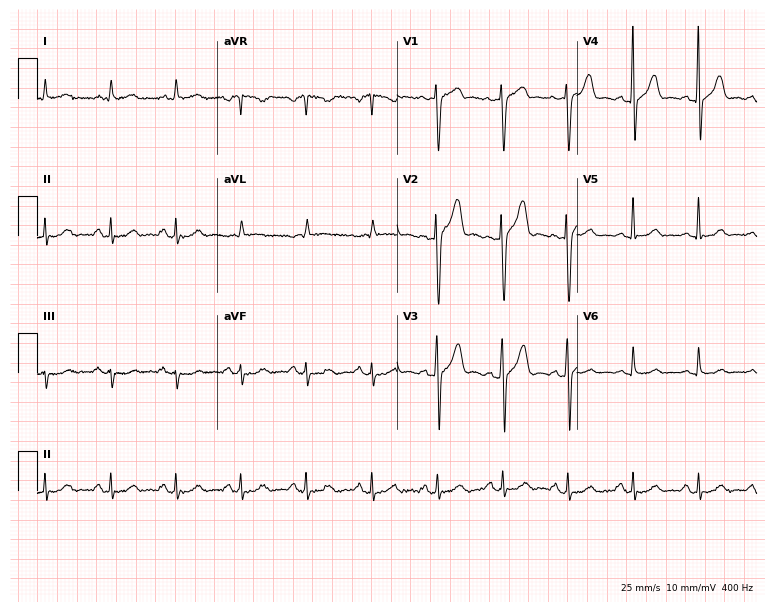
12-lead ECG from a male patient, 60 years old. Recorded interpretation: within normal limits.